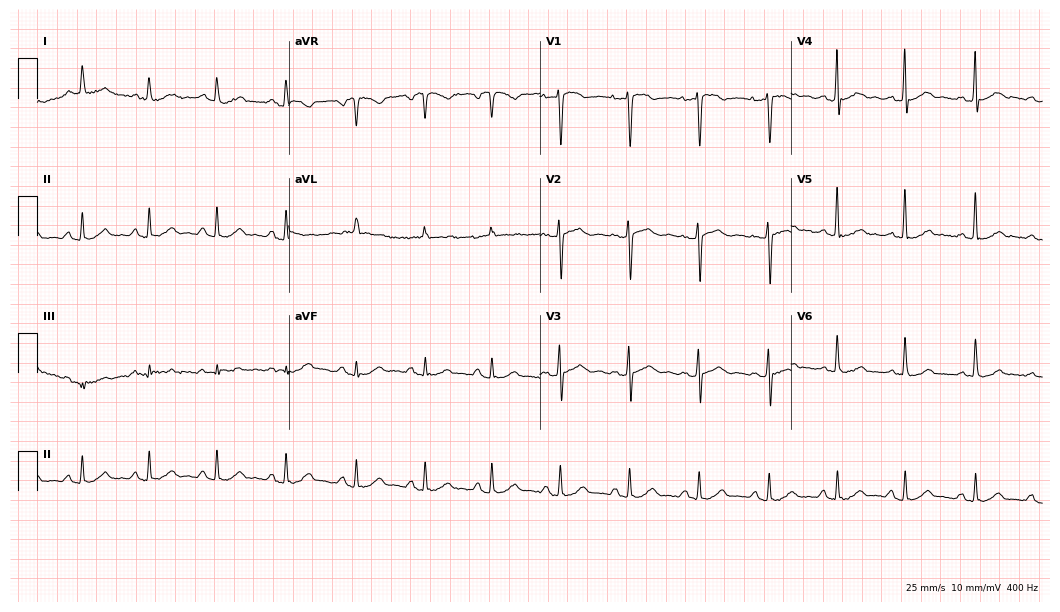
ECG (10.2-second recording at 400 Hz) — a female, 62 years old. Screened for six findings — first-degree AV block, right bundle branch block (RBBB), left bundle branch block (LBBB), sinus bradycardia, atrial fibrillation (AF), sinus tachycardia — none is recorded. Only these six findings were labelled.